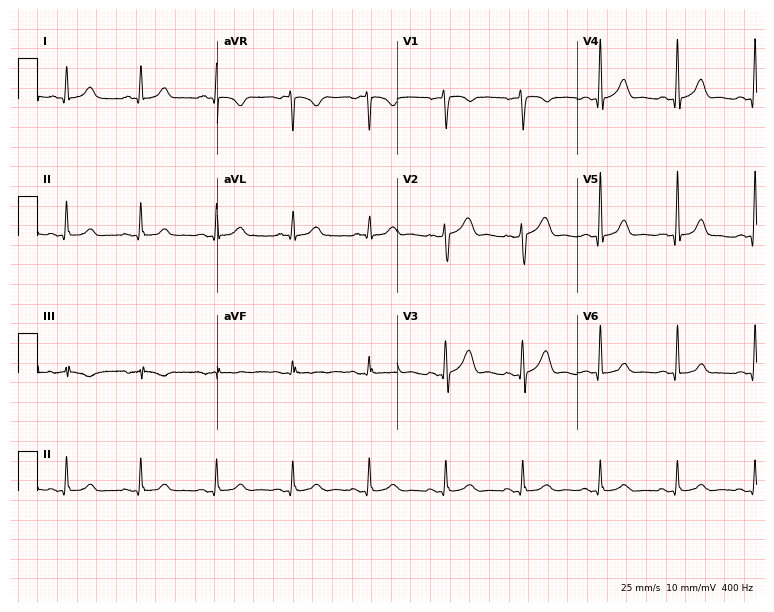
Standard 12-lead ECG recorded from a male, 51 years old. Read as a normal ECG.